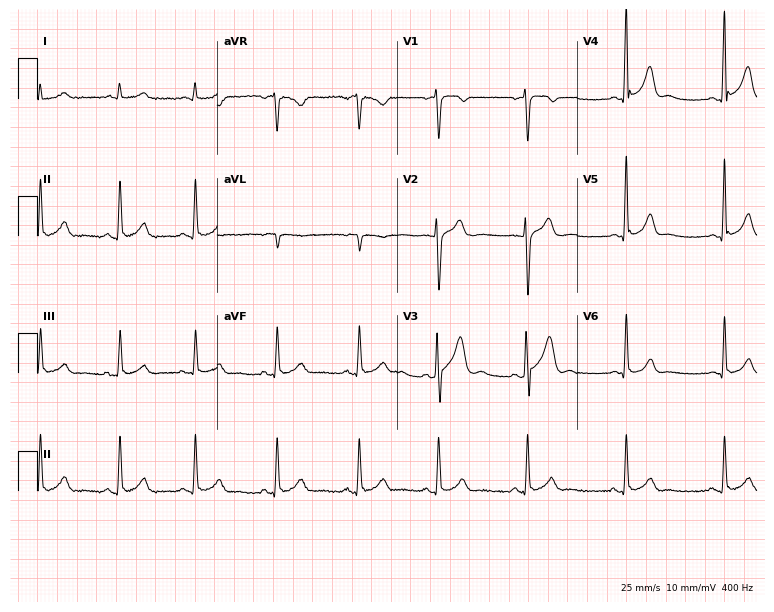
Resting 12-lead electrocardiogram. Patient: a 24-year-old male. None of these six findings is recorded: first-degree AV block, right bundle branch block, left bundle branch block, sinus bradycardia, atrial fibrillation, sinus tachycardia.